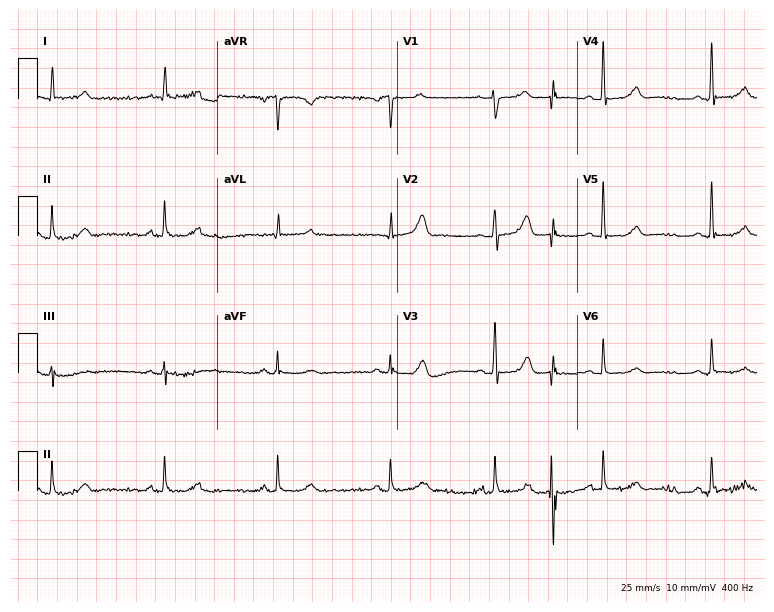
ECG (7.3-second recording at 400 Hz) — a woman, 61 years old. Labelled as a normal ECG.